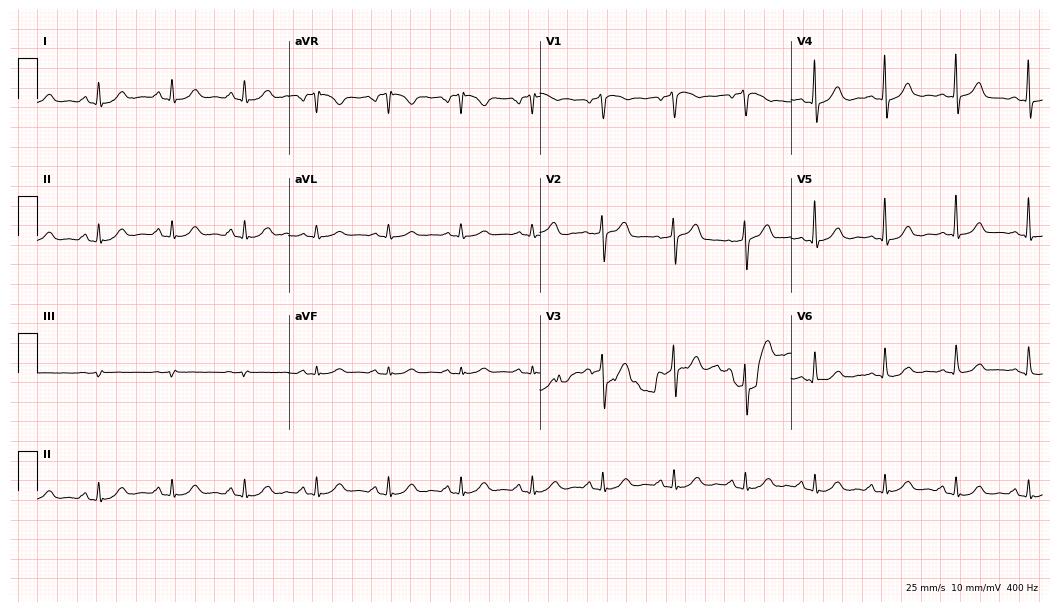
Resting 12-lead electrocardiogram. Patient: a male, 67 years old. Read as a normal ECG.